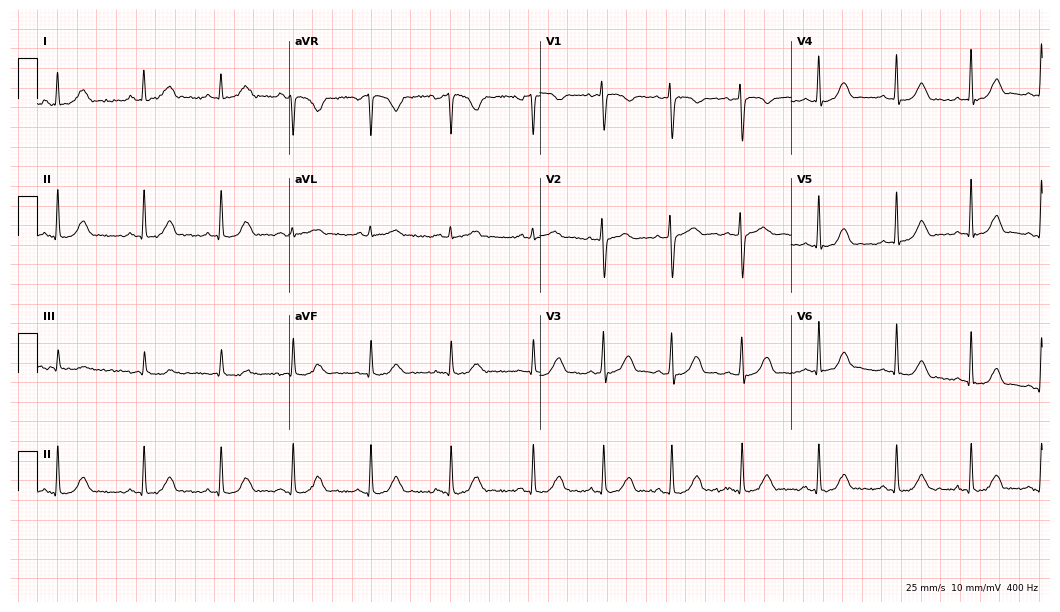
Standard 12-lead ECG recorded from a woman, 33 years old (10.2-second recording at 400 Hz). None of these six findings is recorded: first-degree AV block, right bundle branch block (RBBB), left bundle branch block (LBBB), sinus bradycardia, atrial fibrillation (AF), sinus tachycardia.